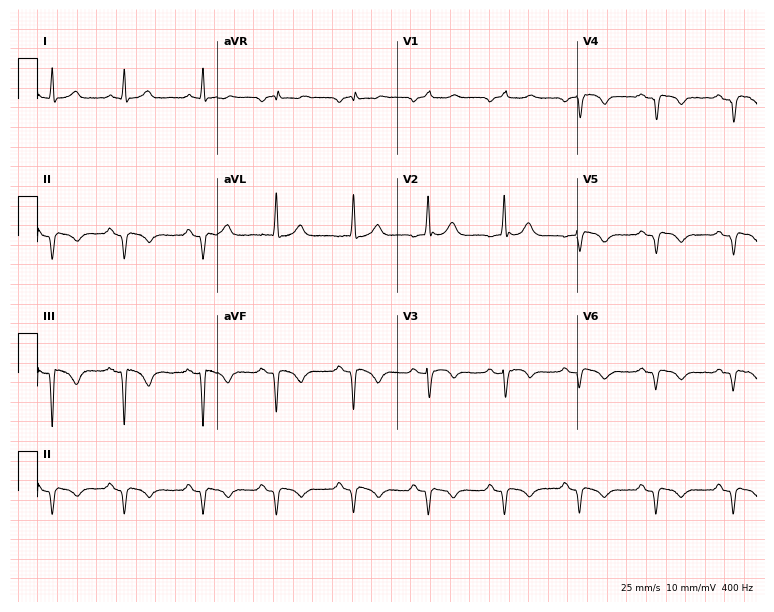
Resting 12-lead electrocardiogram. Patient: a male, 65 years old. None of these six findings is recorded: first-degree AV block, right bundle branch block (RBBB), left bundle branch block (LBBB), sinus bradycardia, atrial fibrillation (AF), sinus tachycardia. Other findings, if any, are not listed.